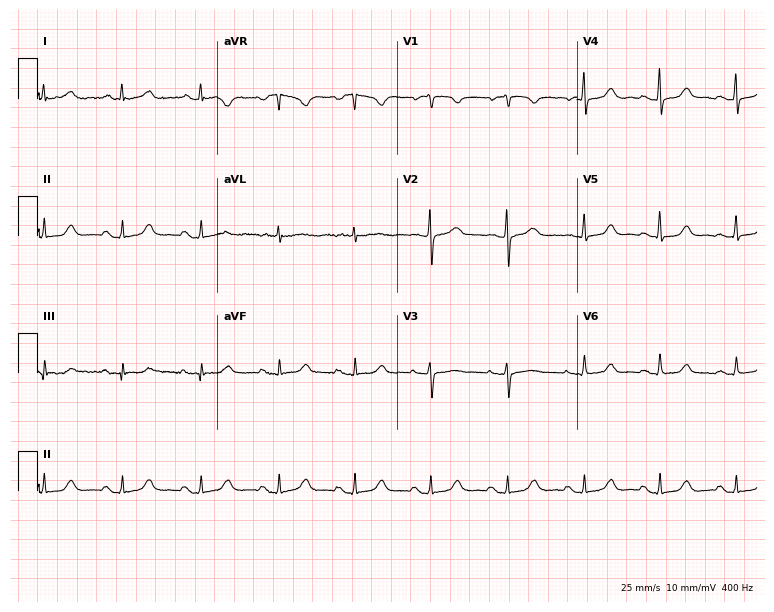
12-lead ECG from a woman, 64 years old. Labelled as a normal ECG.